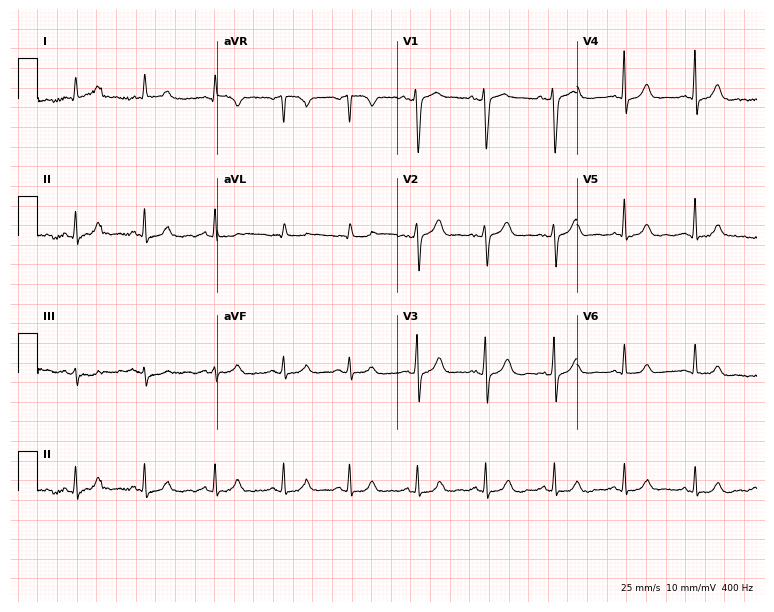
Standard 12-lead ECG recorded from a male patient, 85 years old (7.3-second recording at 400 Hz). None of these six findings is recorded: first-degree AV block, right bundle branch block (RBBB), left bundle branch block (LBBB), sinus bradycardia, atrial fibrillation (AF), sinus tachycardia.